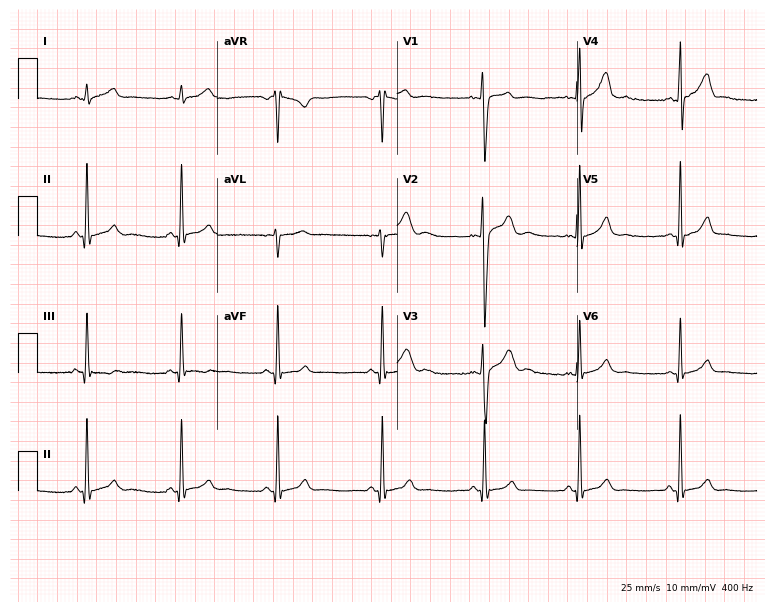
Resting 12-lead electrocardiogram. Patient: a male, 20 years old. Read as a normal ECG.